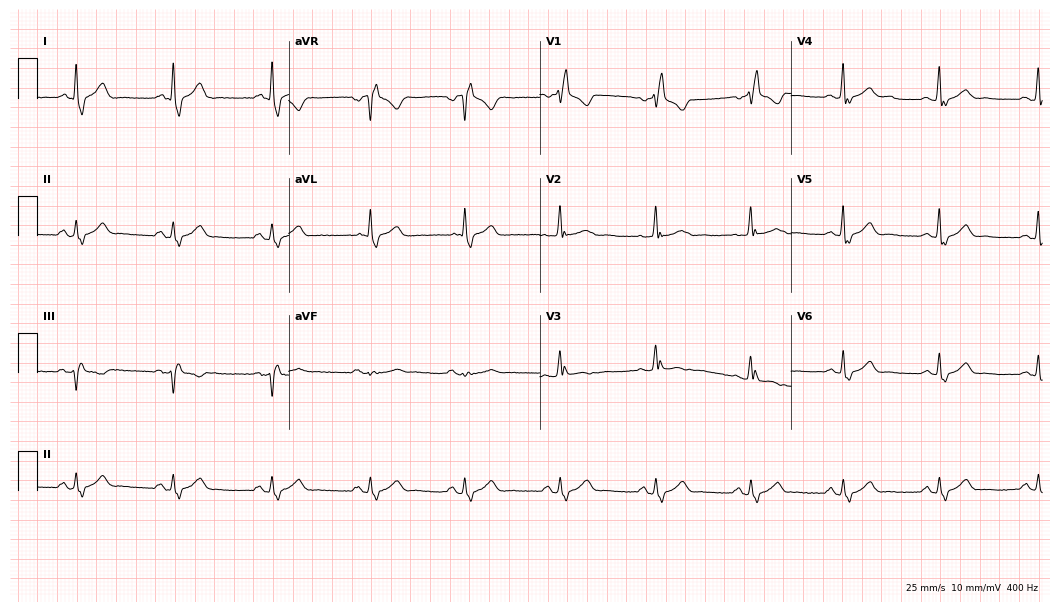
ECG — a 61-year-old female patient. Findings include right bundle branch block (RBBB).